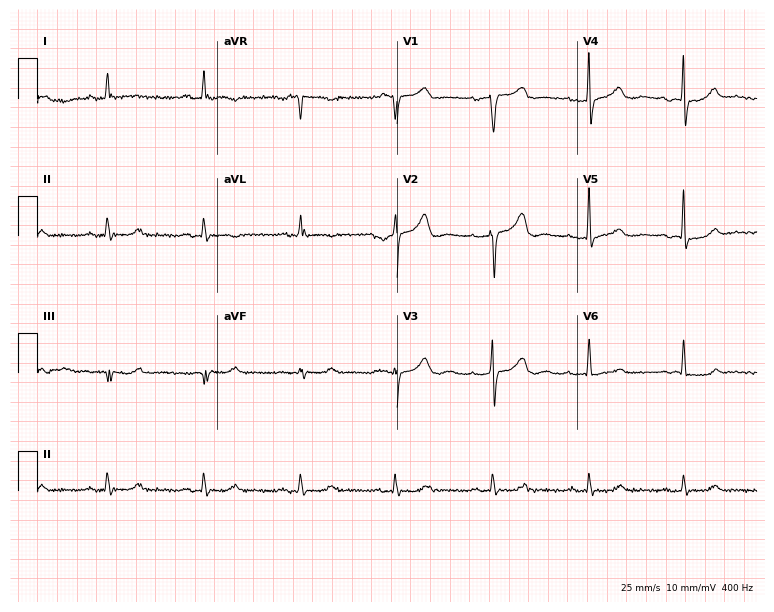
12-lead ECG from a woman, 79 years old (7.3-second recording at 400 Hz). No first-degree AV block, right bundle branch block, left bundle branch block, sinus bradycardia, atrial fibrillation or sinus tachycardia recorded for this tracing. Other findings, if any, are not listed.